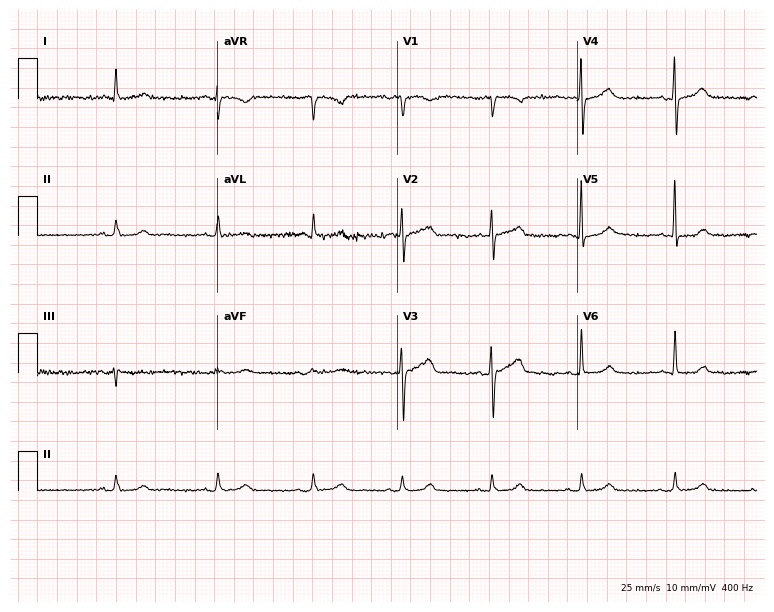
ECG (7.3-second recording at 400 Hz) — an 84-year-old male patient. Screened for six findings — first-degree AV block, right bundle branch block (RBBB), left bundle branch block (LBBB), sinus bradycardia, atrial fibrillation (AF), sinus tachycardia — none is recorded. Only these six findings were labelled.